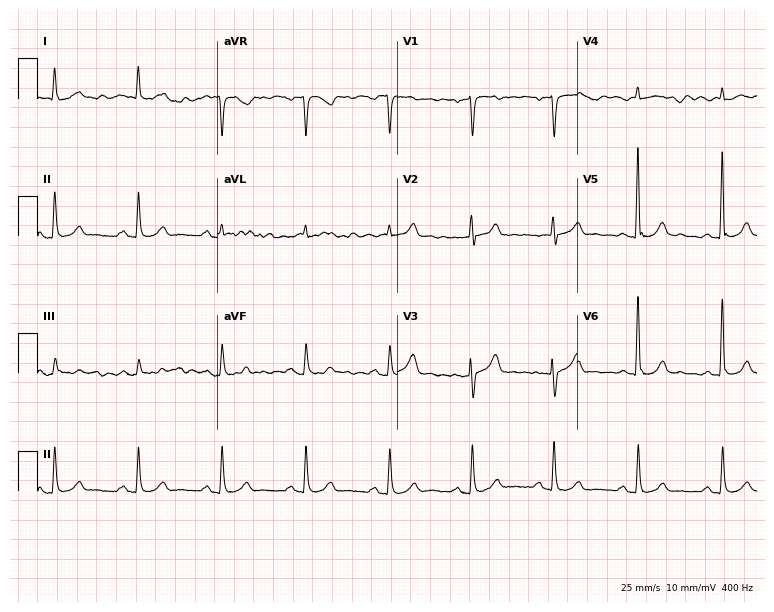
Standard 12-lead ECG recorded from a 74-year-old male patient (7.3-second recording at 400 Hz). None of these six findings is recorded: first-degree AV block, right bundle branch block, left bundle branch block, sinus bradycardia, atrial fibrillation, sinus tachycardia. Other findings, if any, are not listed.